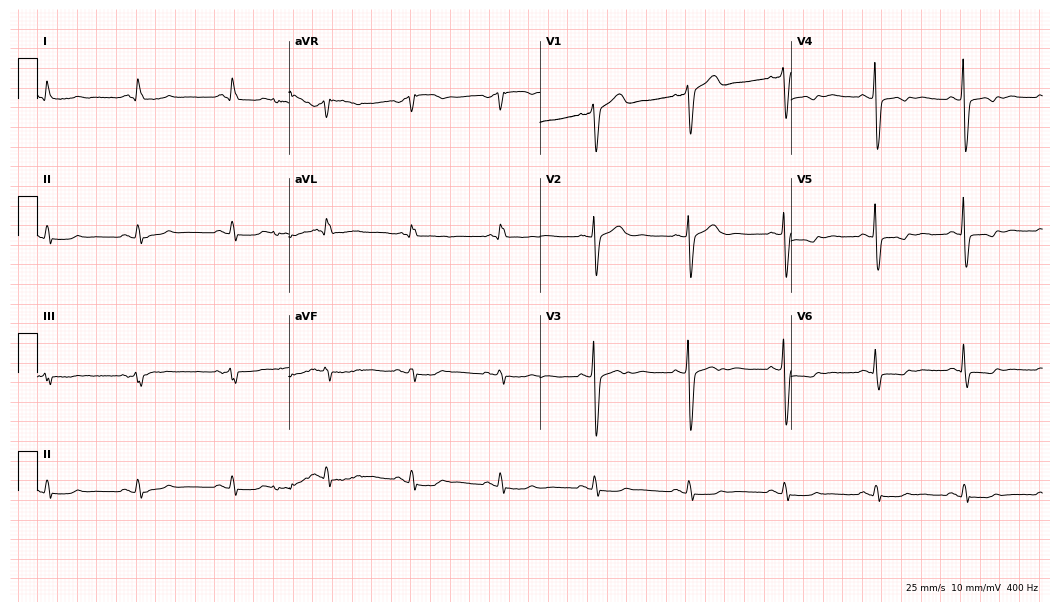
ECG — a male patient, 57 years old. Screened for six findings — first-degree AV block, right bundle branch block, left bundle branch block, sinus bradycardia, atrial fibrillation, sinus tachycardia — none is recorded. Findings outside these six are not listed.